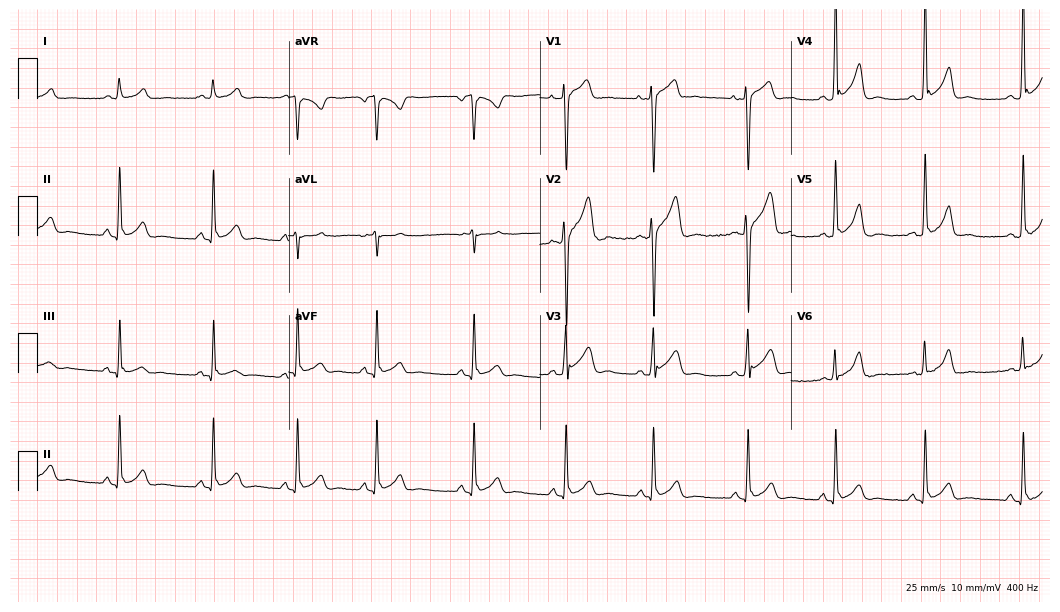
ECG — a 23-year-old male patient. Labelled as a normal ECG.